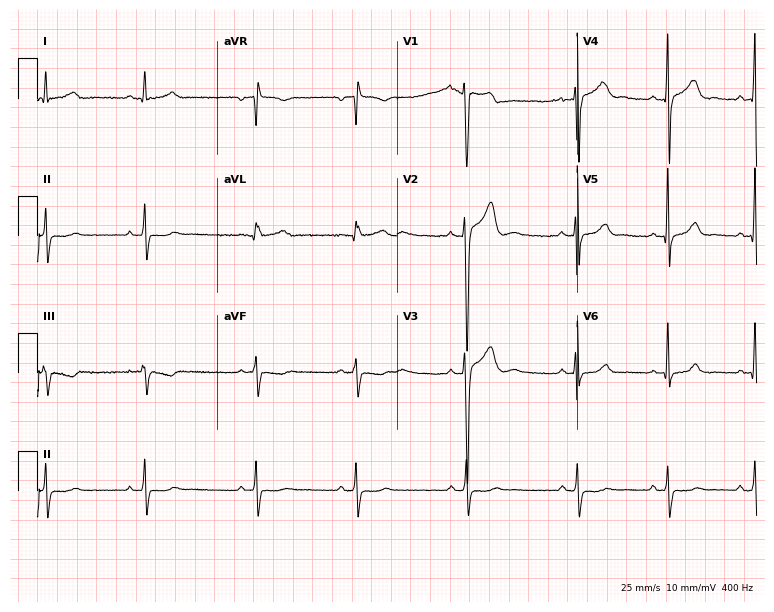
12-lead ECG from a 19-year-old male patient. Screened for six findings — first-degree AV block, right bundle branch block, left bundle branch block, sinus bradycardia, atrial fibrillation, sinus tachycardia — none is recorded.